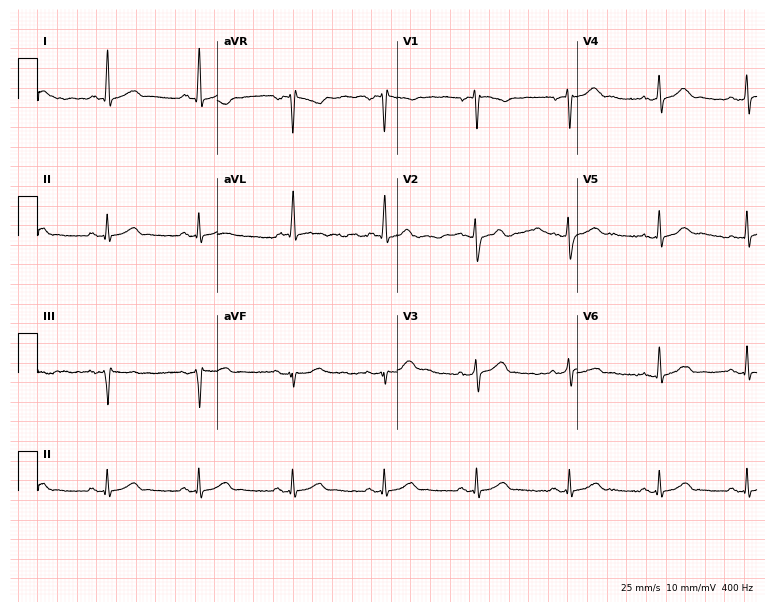
Electrocardiogram, a 37-year-old male patient. Overall reading on record: normal ECG.